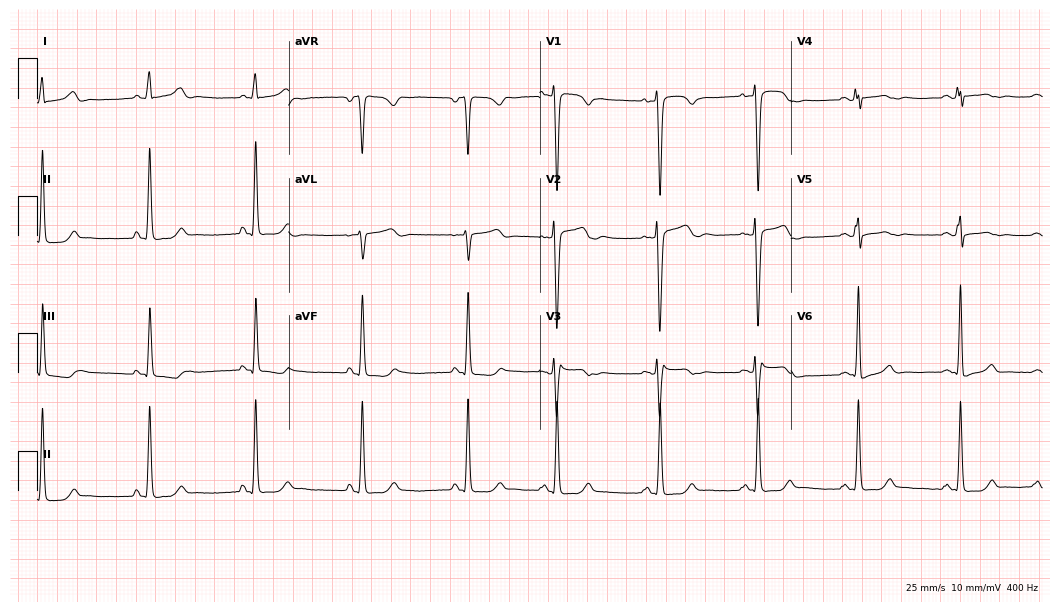
ECG (10.2-second recording at 400 Hz) — a 28-year-old female patient. Labelled as a normal ECG.